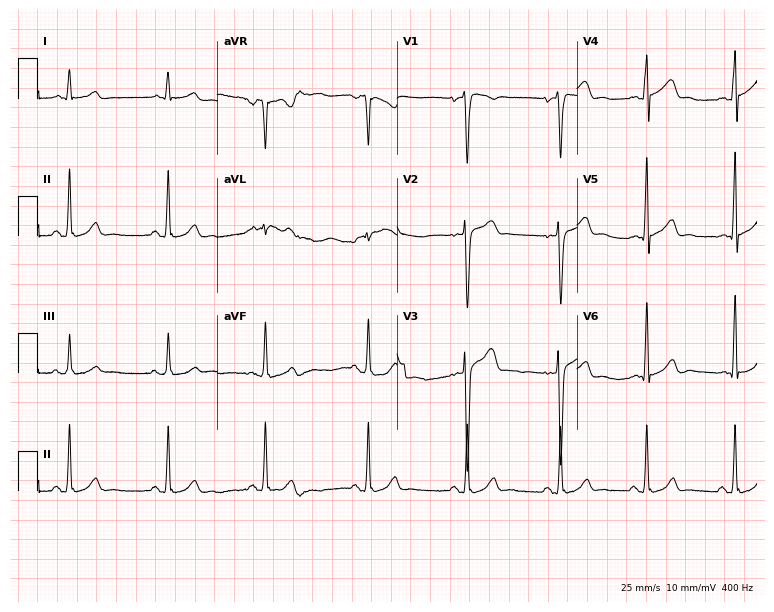
Standard 12-lead ECG recorded from a 34-year-old man. None of these six findings is recorded: first-degree AV block, right bundle branch block (RBBB), left bundle branch block (LBBB), sinus bradycardia, atrial fibrillation (AF), sinus tachycardia. Other findings, if any, are not listed.